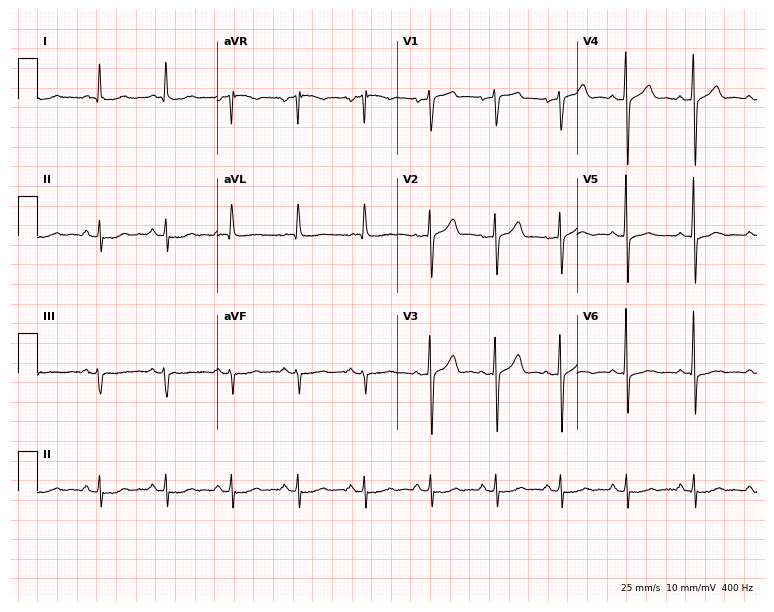
ECG (7.3-second recording at 400 Hz) — a man, 75 years old. Screened for six findings — first-degree AV block, right bundle branch block, left bundle branch block, sinus bradycardia, atrial fibrillation, sinus tachycardia — none is recorded. Other findings, if any, are not listed.